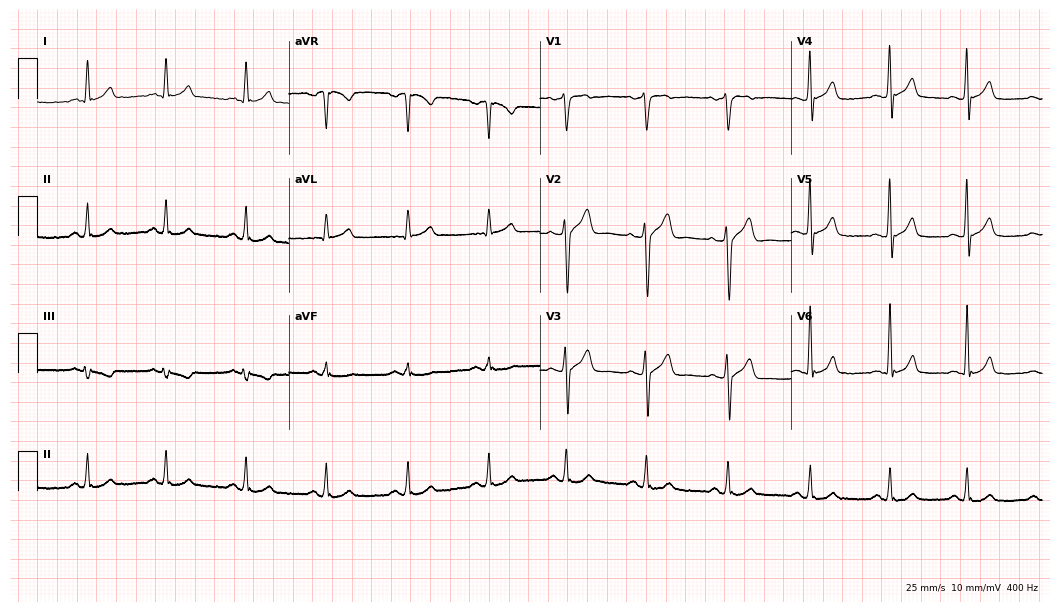
Standard 12-lead ECG recorded from a man, 38 years old. Read as a normal ECG.